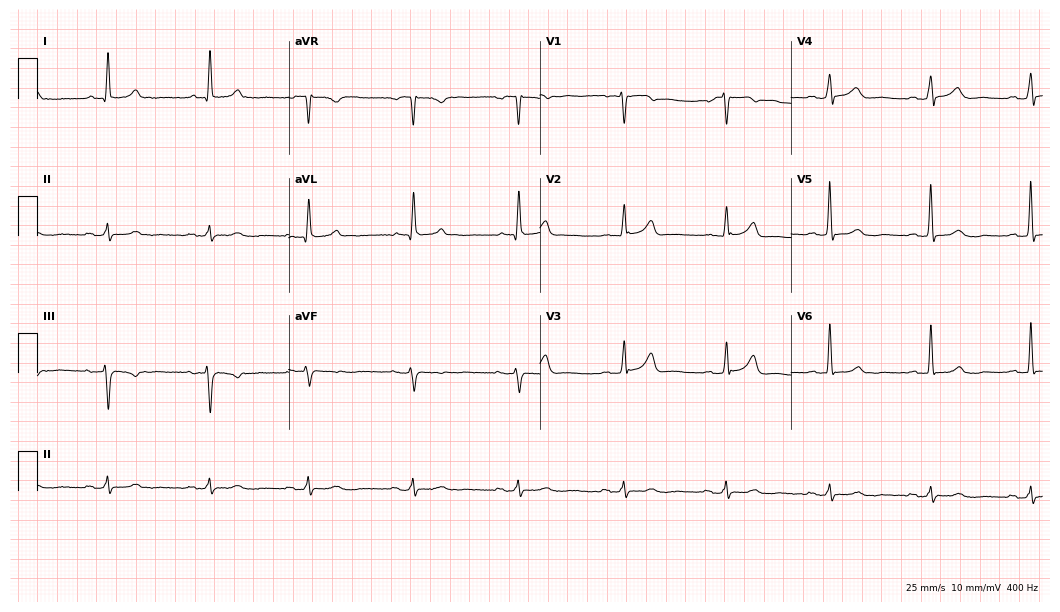
Electrocardiogram, a 65-year-old woman. Overall reading on record: normal ECG.